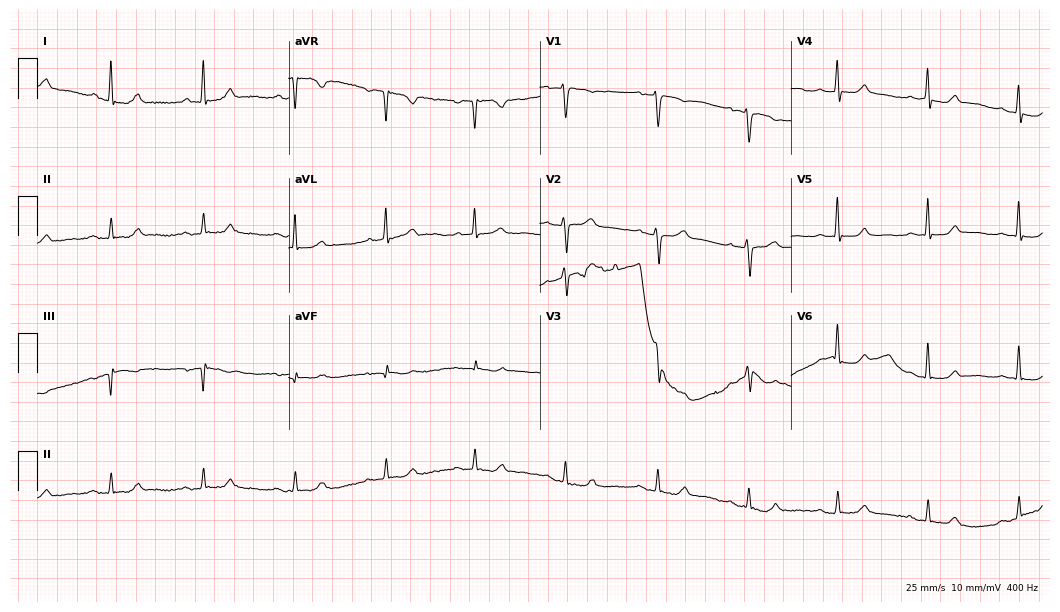
ECG (10.2-second recording at 400 Hz) — a 60-year-old woman. Screened for six findings — first-degree AV block, right bundle branch block, left bundle branch block, sinus bradycardia, atrial fibrillation, sinus tachycardia — none is recorded.